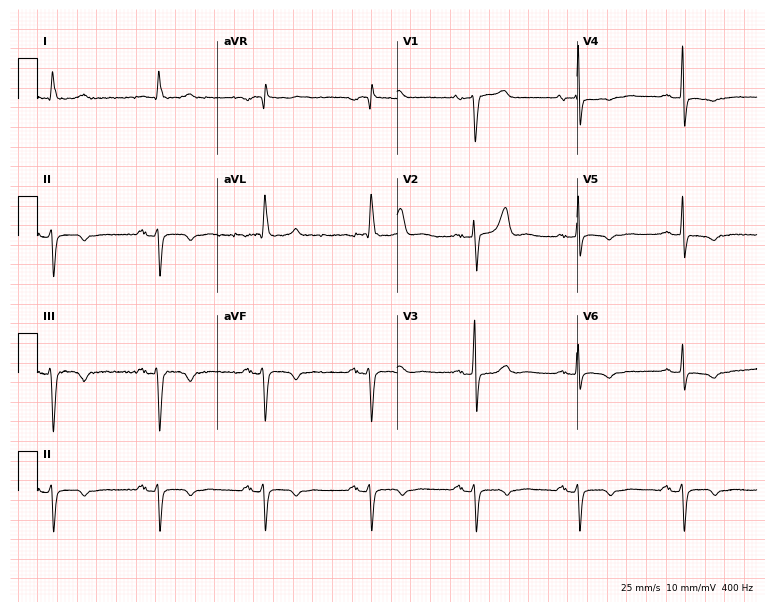
Electrocardiogram (7.3-second recording at 400 Hz), a man, 82 years old. Of the six screened findings (first-degree AV block, right bundle branch block, left bundle branch block, sinus bradycardia, atrial fibrillation, sinus tachycardia), none is recorded. Other findings, if any, are not listed.